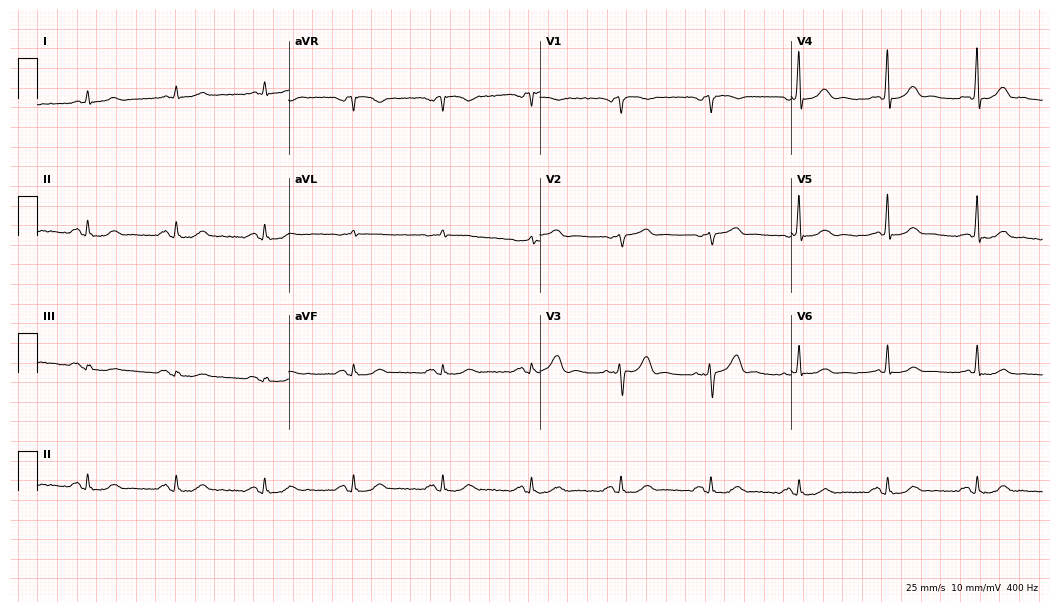
Resting 12-lead electrocardiogram. Patient: a man, 75 years old. Read as a normal ECG.